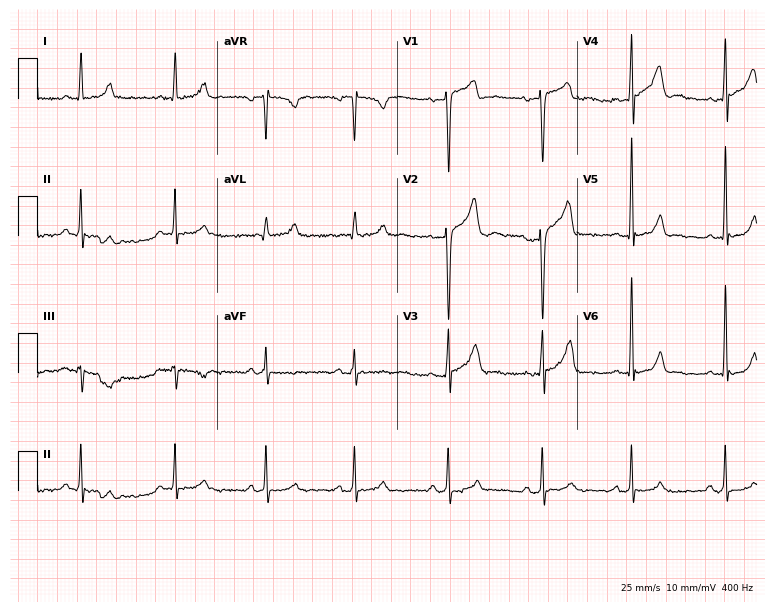
12-lead ECG from a male, 30 years old (7.3-second recording at 400 Hz). Recorded interpretation: within normal limits.